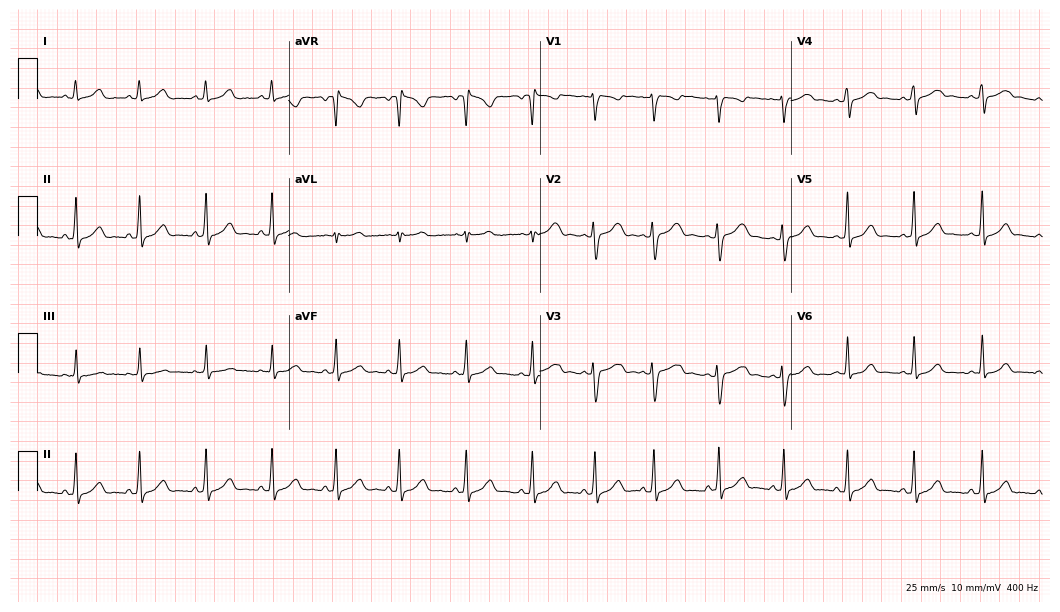
Electrocardiogram, a female patient, 21 years old. Overall reading on record: normal ECG.